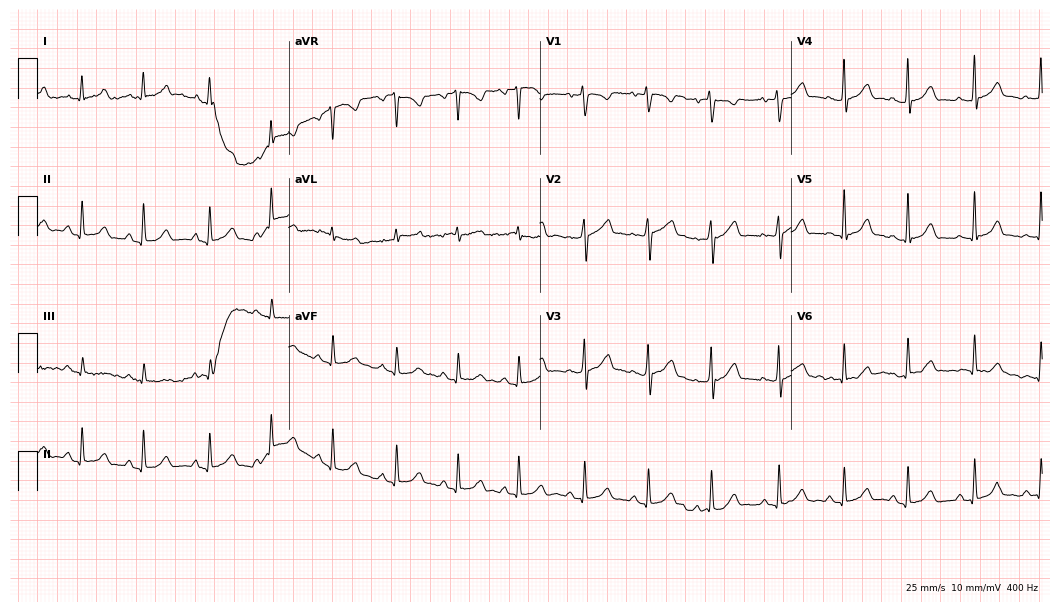
ECG (10.2-second recording at 400 Hz) — a female patient, 21 years old. Labelled as a normal ECG.